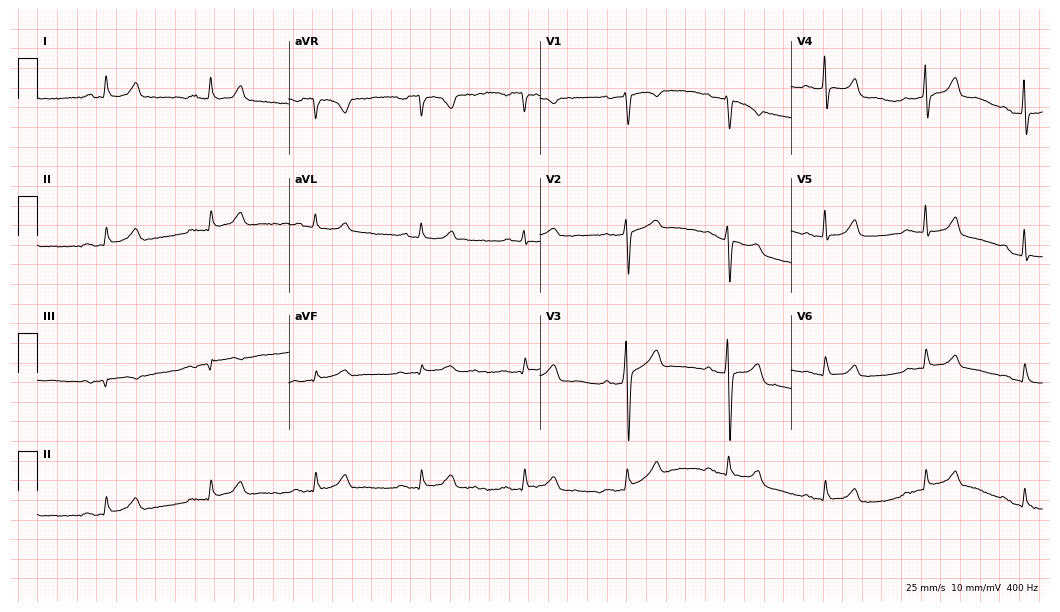
ECG — a 71-year-old female. Labelled as a normal ECG.